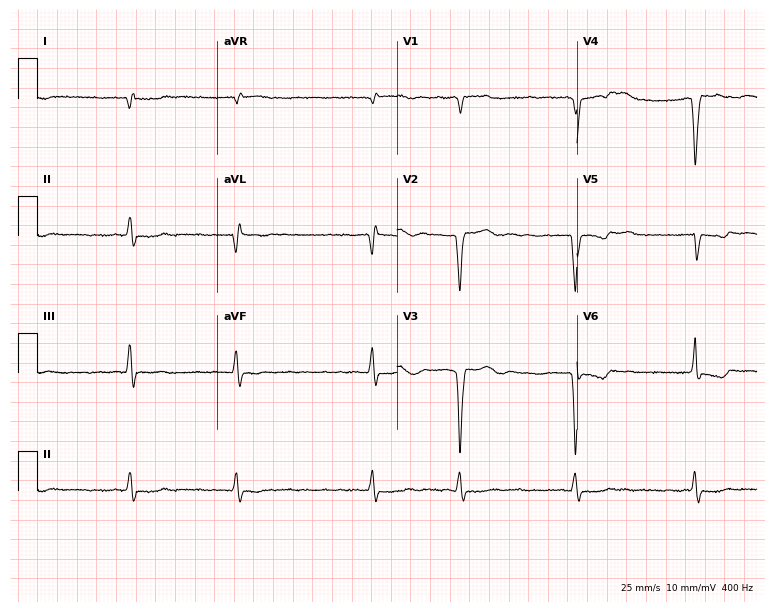
12-lead ECG from a 76-year-old female. Findings include atrial fibrillation.